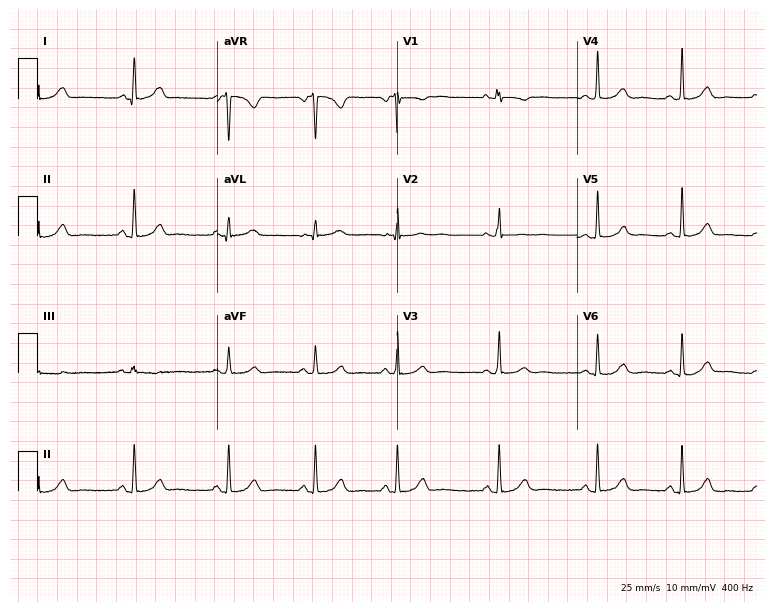
Electrocardiogram (7.3-second recording at 400 Hz), a 23-year-old woman. Overall reading on record: normal ECG.